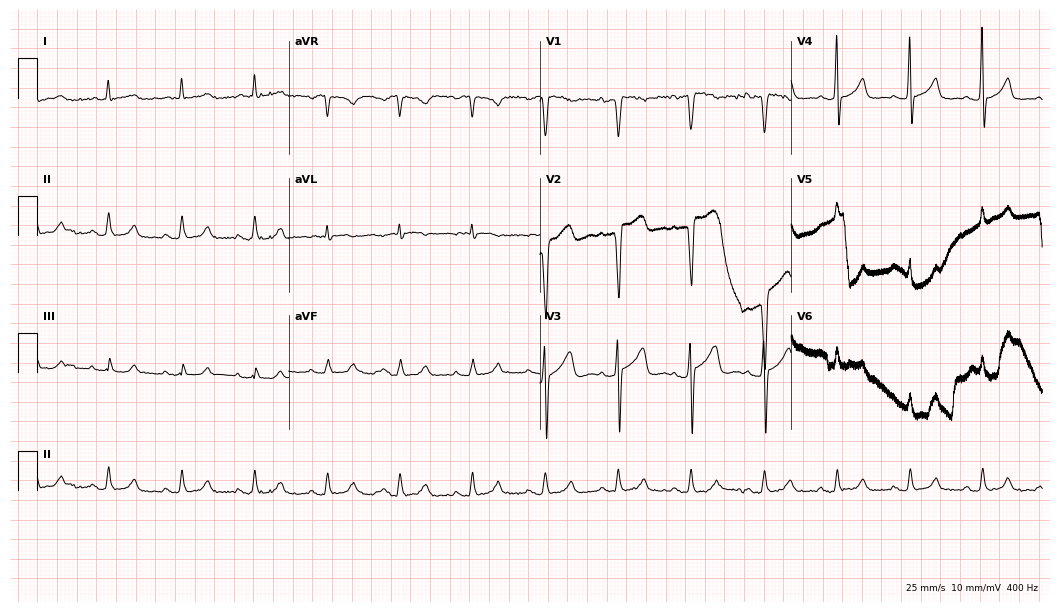
Standard 12-lead ECG recorded from an 82-year-old man (10.2-second recording at 400 Hz). None of these six findings is recorded: first-degree AV block, right bundle branch block, left bundle branch block, sinus bradycardia, atrial fibrillation, sinus tachycardia. Only these six findings were labelled.